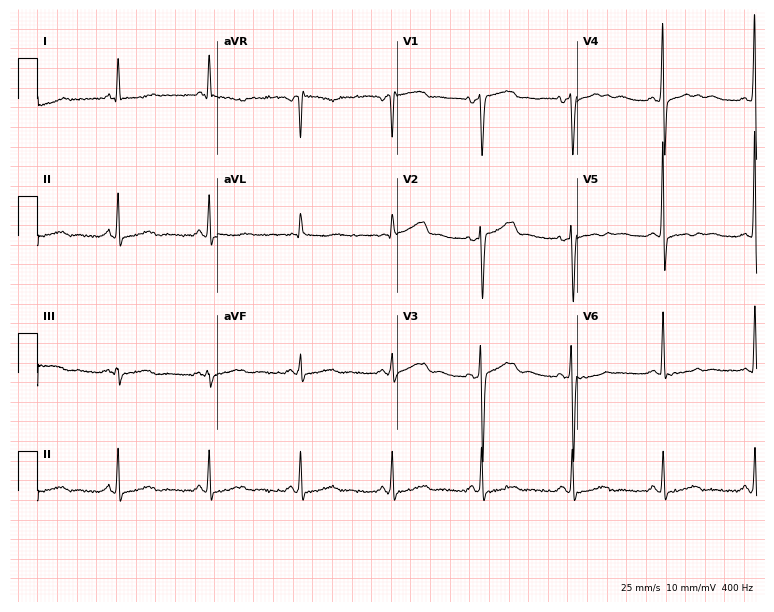
12-lead ECG from a 76-year-old female (7.3-second recording at 400 Hz). No first-degree AV block, right bundle branch block (RBBB), left bundle branch block (LBBB), sinus bradycardia, atrial fibrillation (AF) or sinus tachycardia recorded for this tracing. Findings outside these six are not listed.